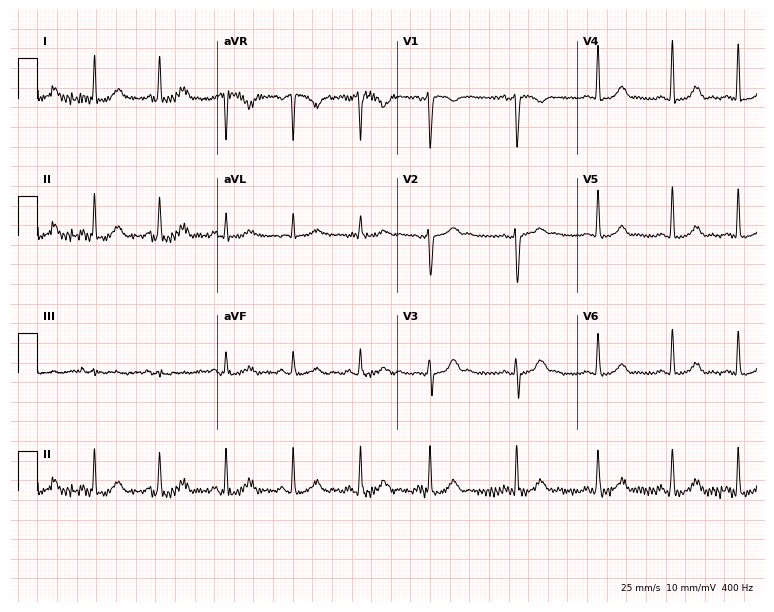
Resting 12-lead electrocardiogram (7.3-second recording at 400 Hz). Patient: a 31-year-old female. Read as a normal ECG.